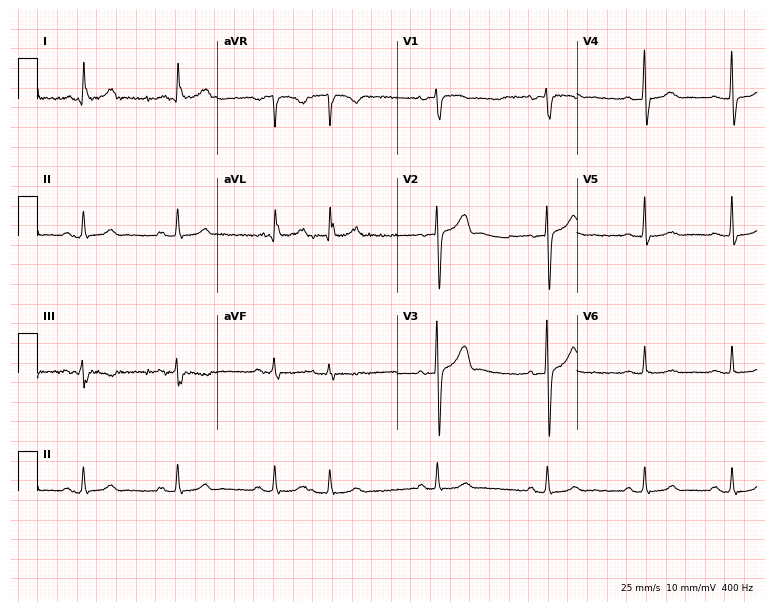
12-lead ECG from a woman, 86 years old (7.3-second recording at 400 Hz). No first-degree AV block, right bundle branch block, left bundle branch block, sinus bradycardia, atrial fibrillation or sinus tachycardia recorded for this tracing.